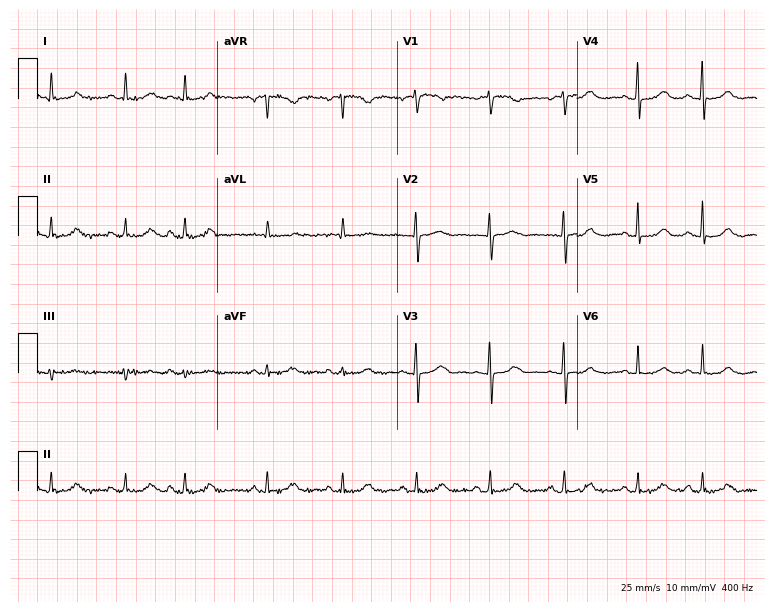
Electrocardiogram (7.3-second recording at 400 Hz), a 66-year-old female patient. Of the six screened findings (first-degree AV block, right bundle branch block, left bundle branch block, sinus bradycardia, atrial fibrillation, sinus tachycardia), none is recorded. Other findings, if any, are not listed.